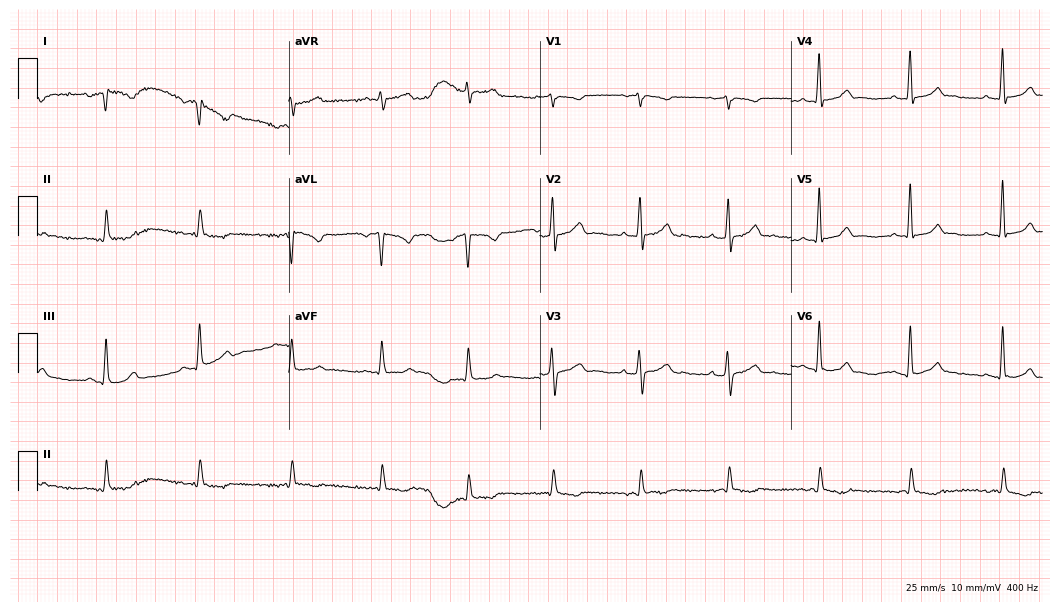
ECG — a 35-year-old female patient. Screened for six findings — first-degree AV block, right bundle branch block, left bundle branch block, sinus bradycardia, atrial fibrillation, sinus tachycardia — none is recorded.